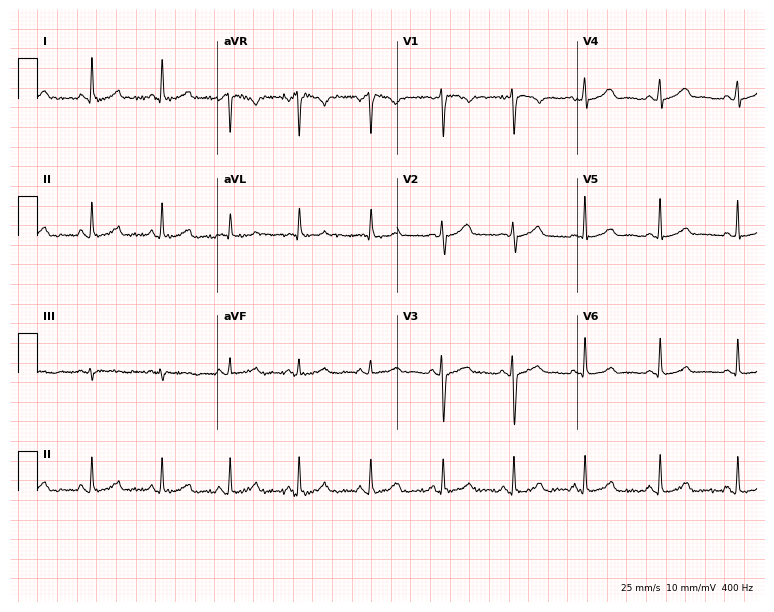
Standard 12-lead ECG recorded from a woman, 41 years old. Read as a normal ECG.